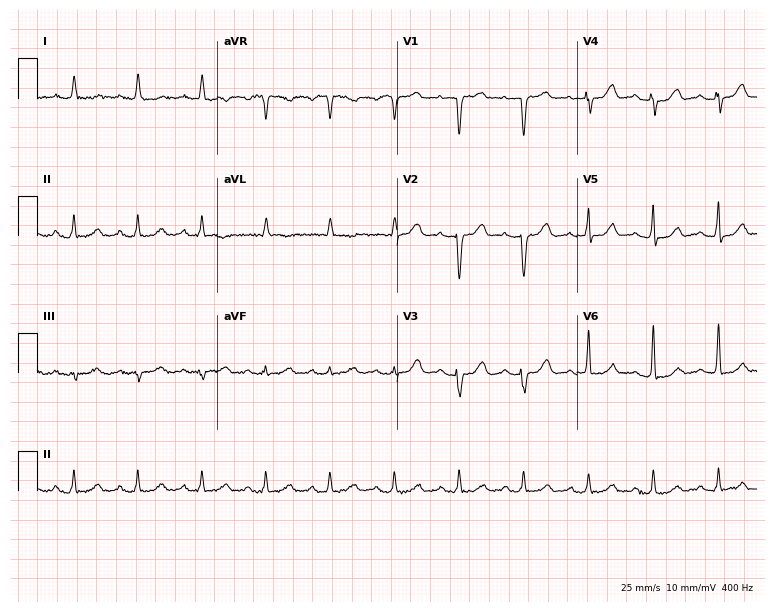
Standard 12-lead ECG recorded from a female, 70 years old (7.3-second recording at 400 Hz). Read as a normal ECG.